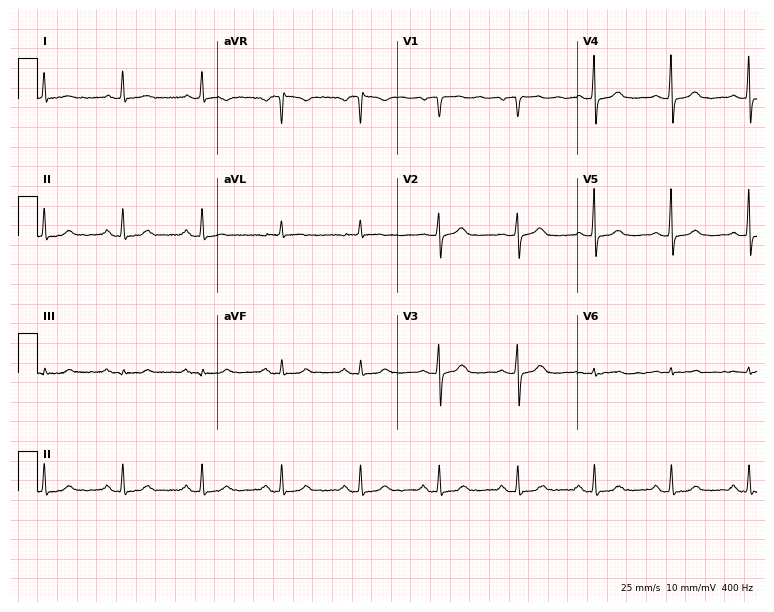
Standard 12-lead ECG recorded from a male, 73 years old. Read as a normal ECG.